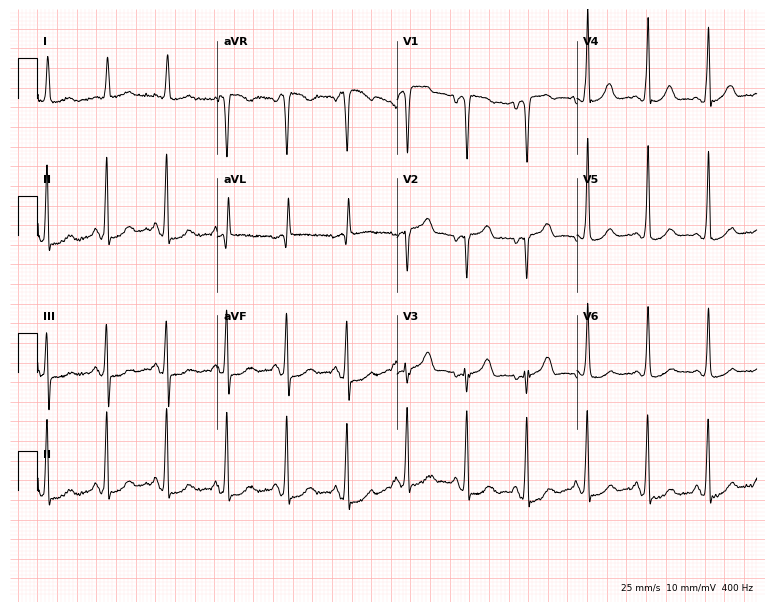
Standard 12-lead ECG recorded from a 75-year-old female. None of these six findings is recorded: first-degree AV block, right bundle branch block (RBBB), left bundle branch block (LBBB), sinus bradycardia, atrial fibrillation (AF), sinus tachycardia. Findings outside these six are not listed.